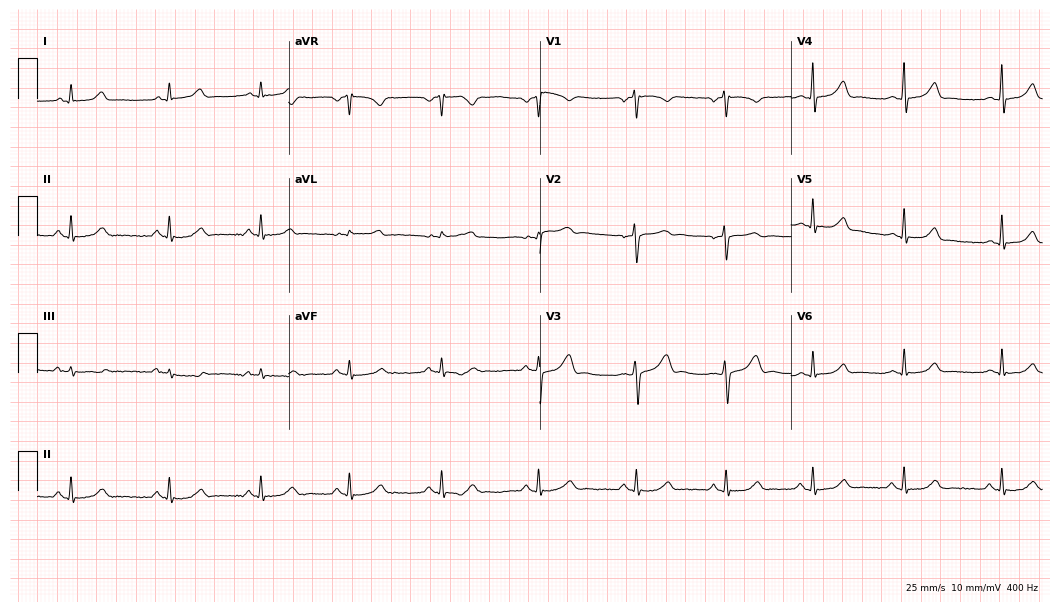
12-lead ECG from a woman, 34 years old. Recorded interpretation: within normal limits.